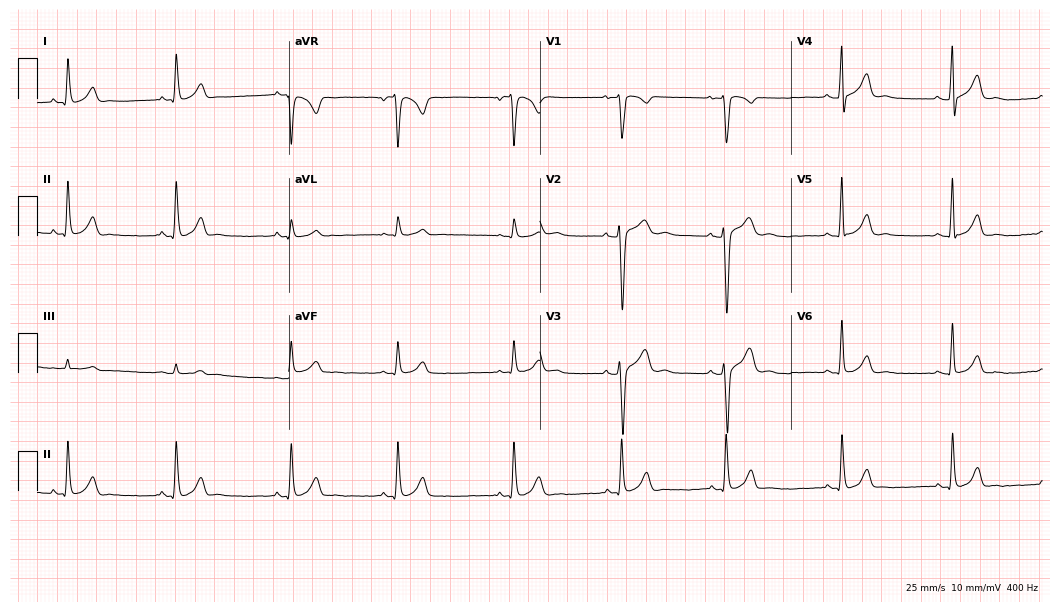
Resting 12-lead electrocardiogram (10.2-second recording at 400 Hz). Patient: a man, 18 years old. Read as a normal ECG.